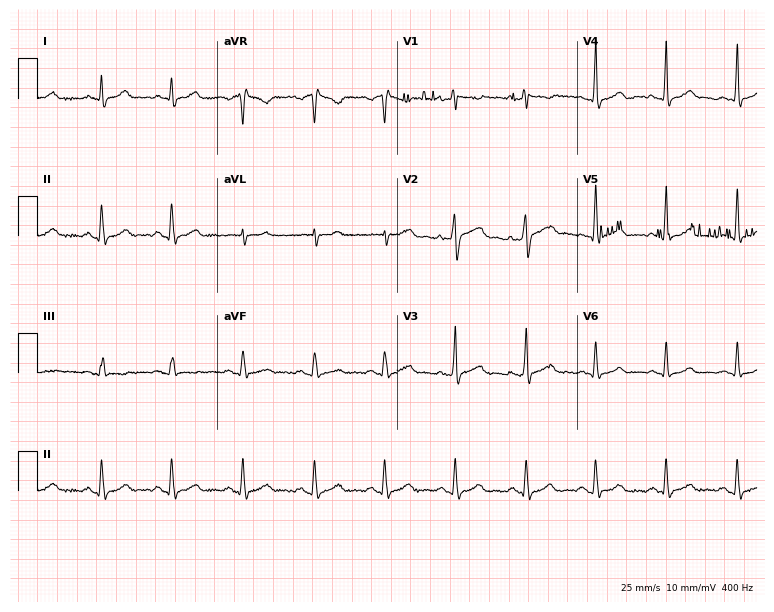
12-lead ECG (7.3-second recording at 400 Hz) from a 48-year-old male patient. Screened for six findings — first-degree AV block, right bundle branch block (RBBB), left bundle branch block (LBBB), sinus bradycardia, atrial fibrillation (AF), sinus tachycardia — none is recorded. Findings outside these six are not listed.